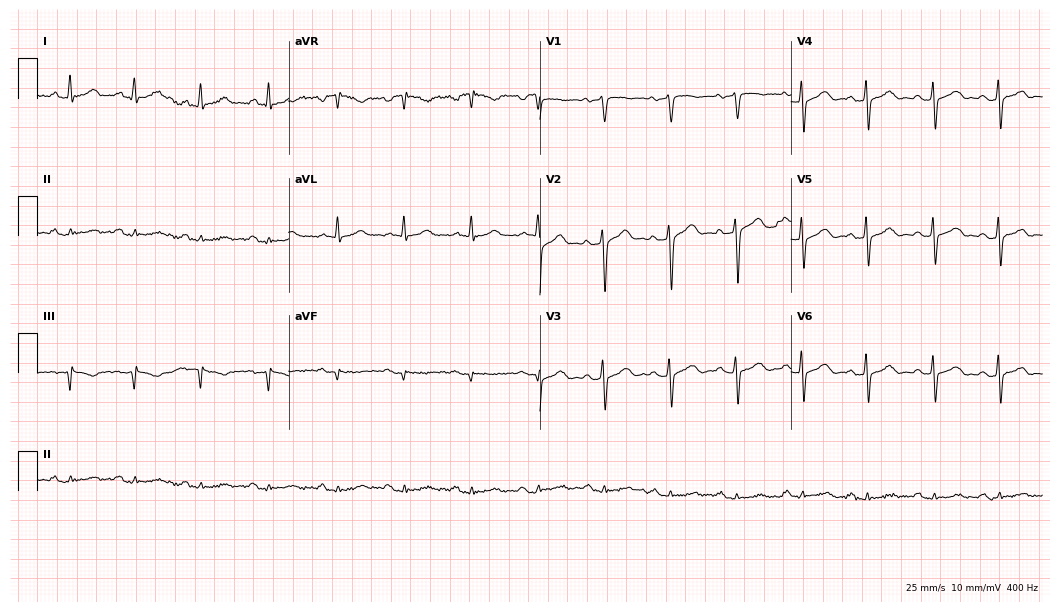
ECG — a male patient, 53 years old. Screened for six findings — first-degree AV block, right bundle branch block, left bundle branch block, sinus bradycardia, atrial fibrillation, sinus tachycardia — none is recorded.